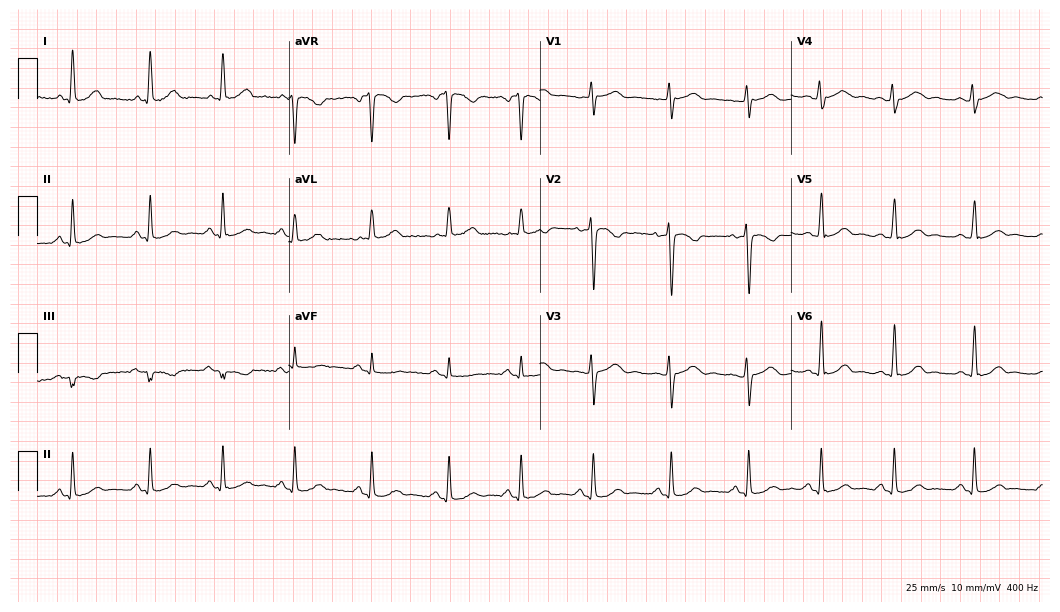
Electrocardiogram, a 32-year-old female patient. Overall reading on record: normal ECG.